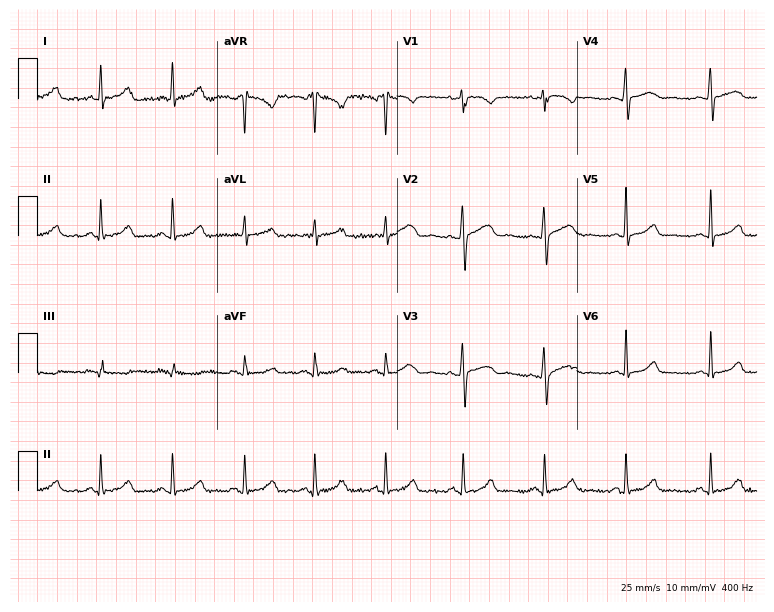
12-lead ECG (7.3-second recording at 400 Hz) from a 35-year-old woman. Labelled as a normal ECG.